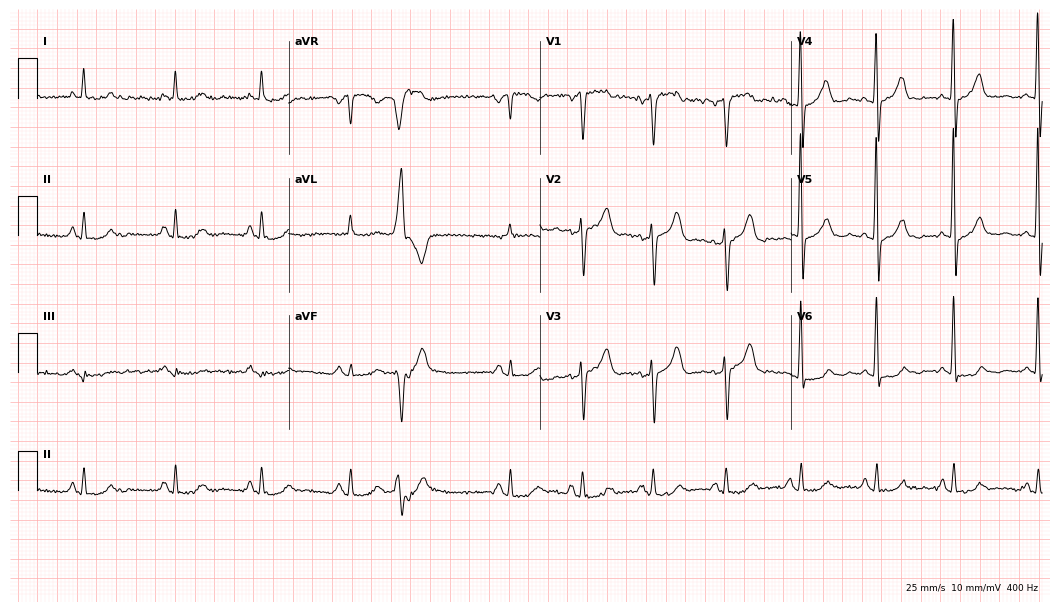
Electrocardiogram, a male patient, 64 years old. Of the six screened findings (first-degree AV block, right bundle branch block (RBBB), left bundle branch block (LBBB), sinus bradycardia, atrial fibrillation (AF), sinus tachycardia), none is recorded.